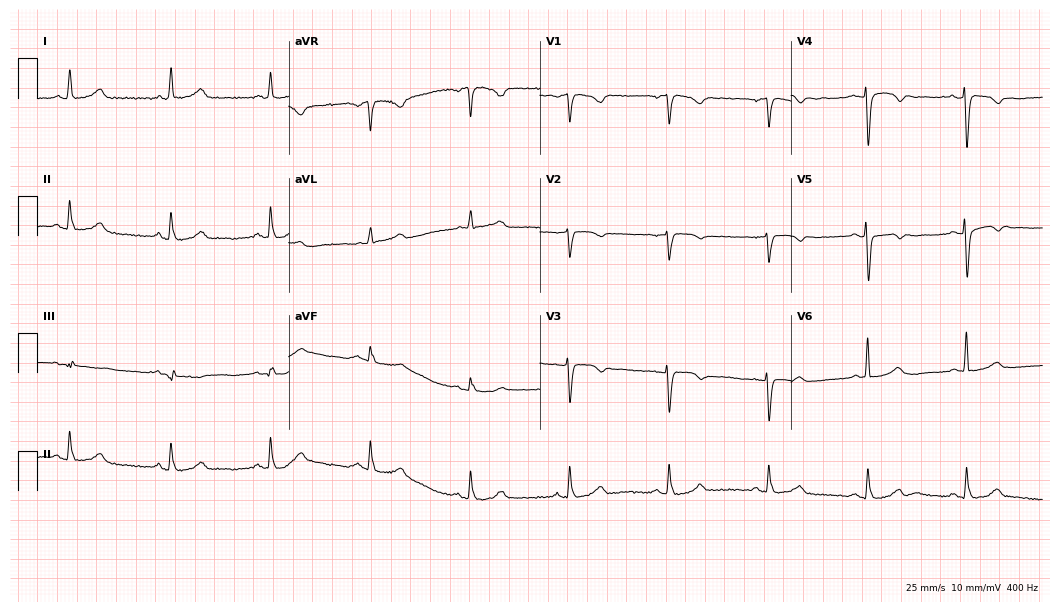
Resting 12-lead electrocardiogram. Patient: a 45-year-old female. None of these six findings is recorded: first-degree AV block, right bundle branch block, left bundle branch block, sinus bradycardia, atrial fibrillation, sinus tachycardia.